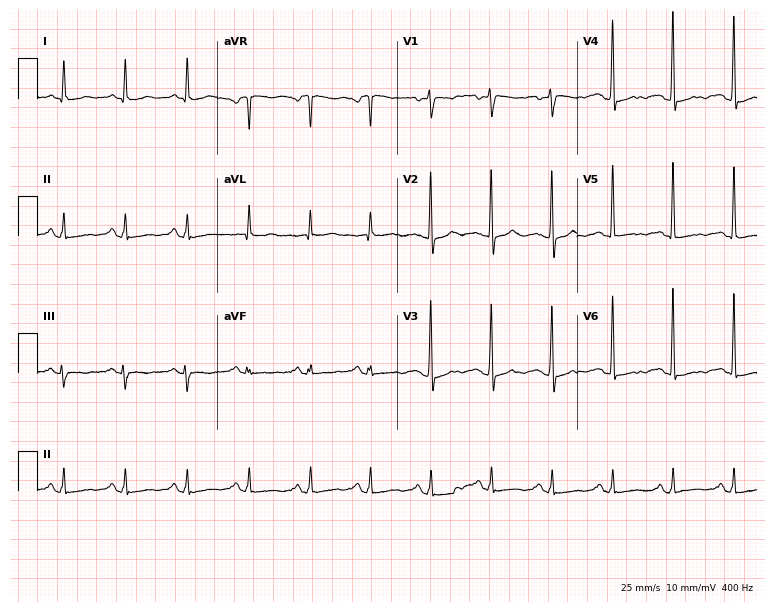
ECG (7.3-second recording at 400 Hz) — an 80-year-old man. Screened for six findings — first-degree AV block, right bundle branch block (RBBB), left bundle branch block (LBBB), sinus bradycardia, atrial fibrillation (AF), sinus tachycardia — none is recorded.